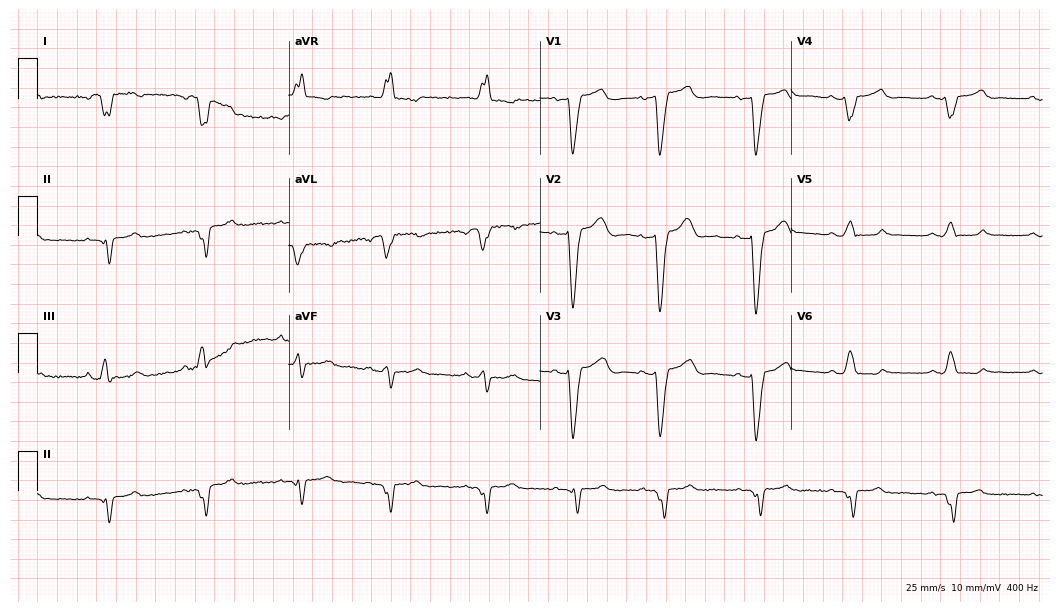
Resting 12-lead electrocardiogram (10.2-second recording at 400 Hz). Patient: a 52-year-old female. The tracing shows left bundle branch block.